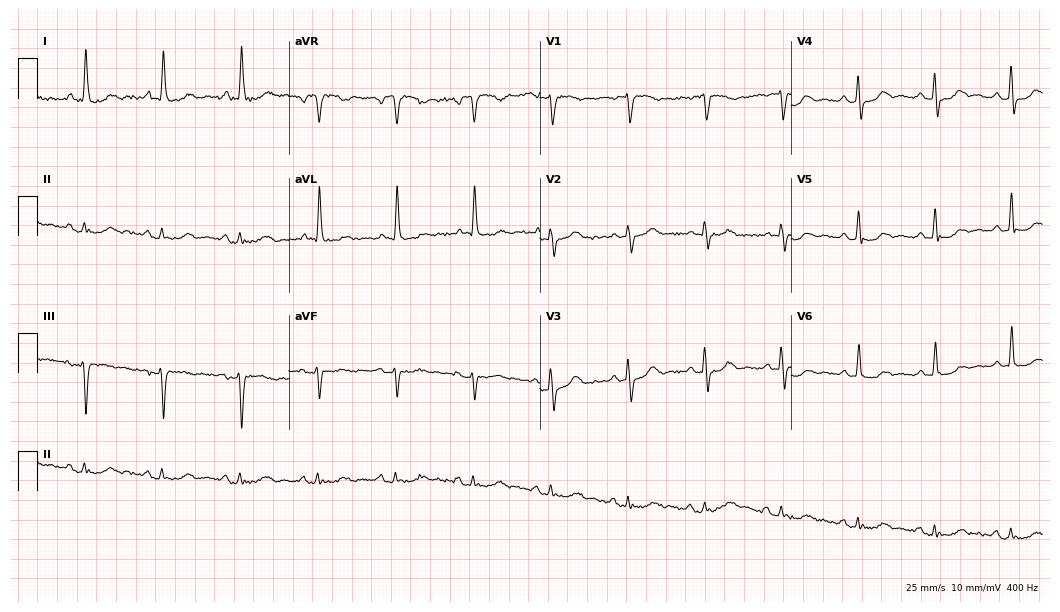
12-lead ECG (10.2-second recording at 400 Hz) from a 73-year-old female. Labelled as a normal ECG.